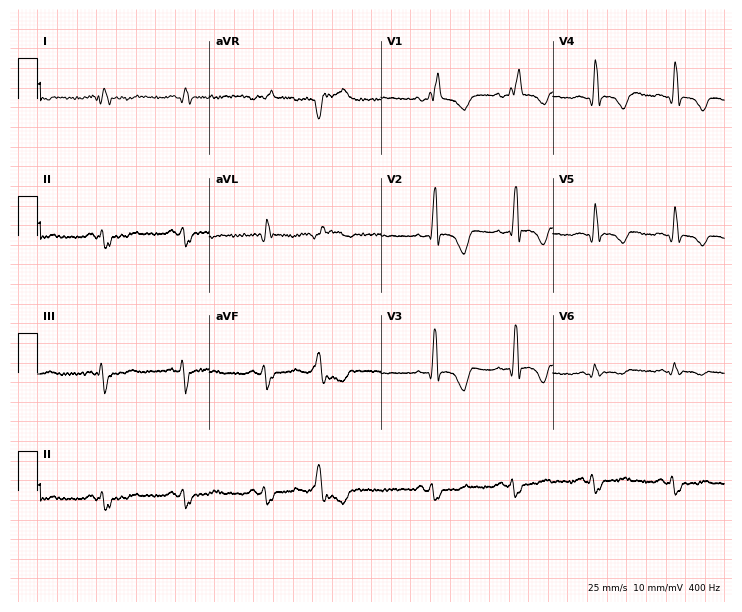
ECG — a 55-year-old male. Findings include right bundle branch block (RBBB).